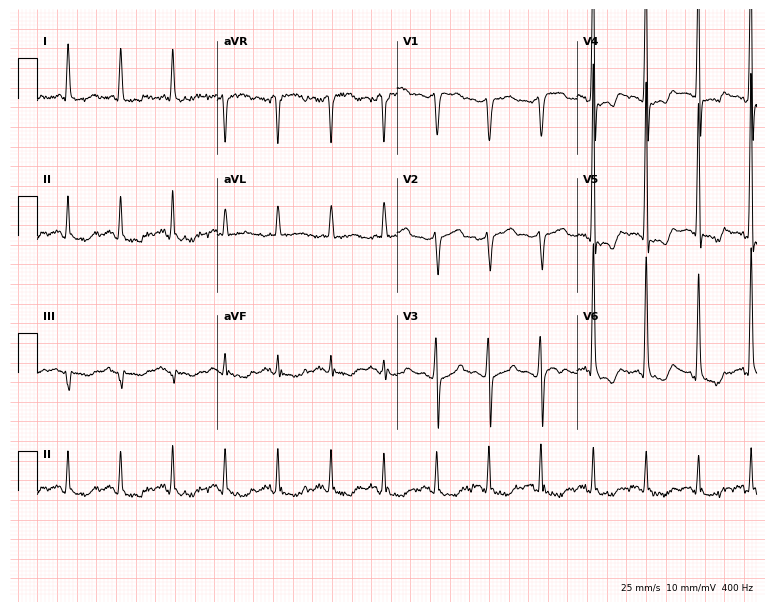
Electrocardiogram (7.3-second recording at 400 Hz), a 70-year-old man. Interpretation includes sinus tachycardia (a sinus rate of 100 beats per minute or more).